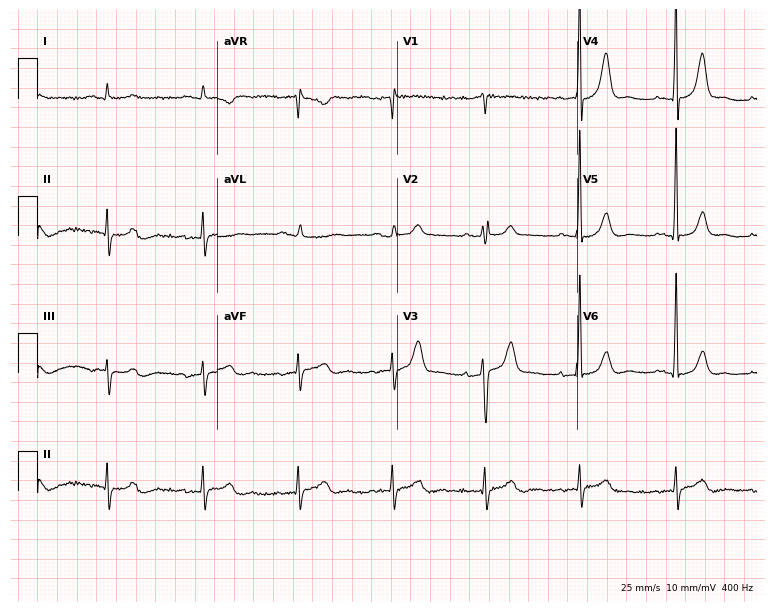
ECG — a 76-year-old male. Labelled as a normal ECG.